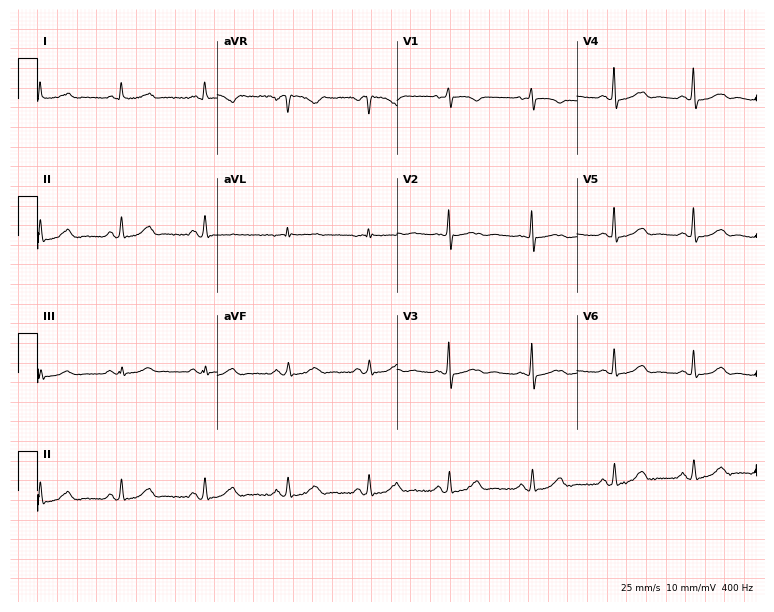
12-lead ECG from a 78-year-old female. No first-degree AV block, right bundle branch block (RBBB), left bundle branch block (LBBB), sinus bradycardia, atrial fibrillation (AF) or sinus tachycardia recorded for this tracing.